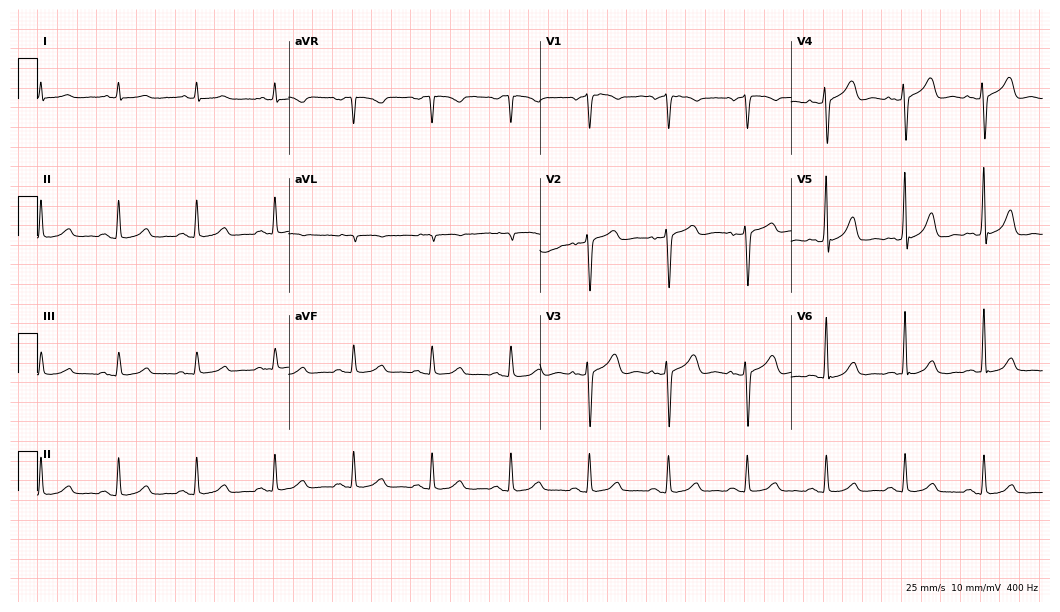
12-lead ECG from a 64-year-old male patient (10.2-second recording at 400 Hz). Recorded interpretation: within normal limits.